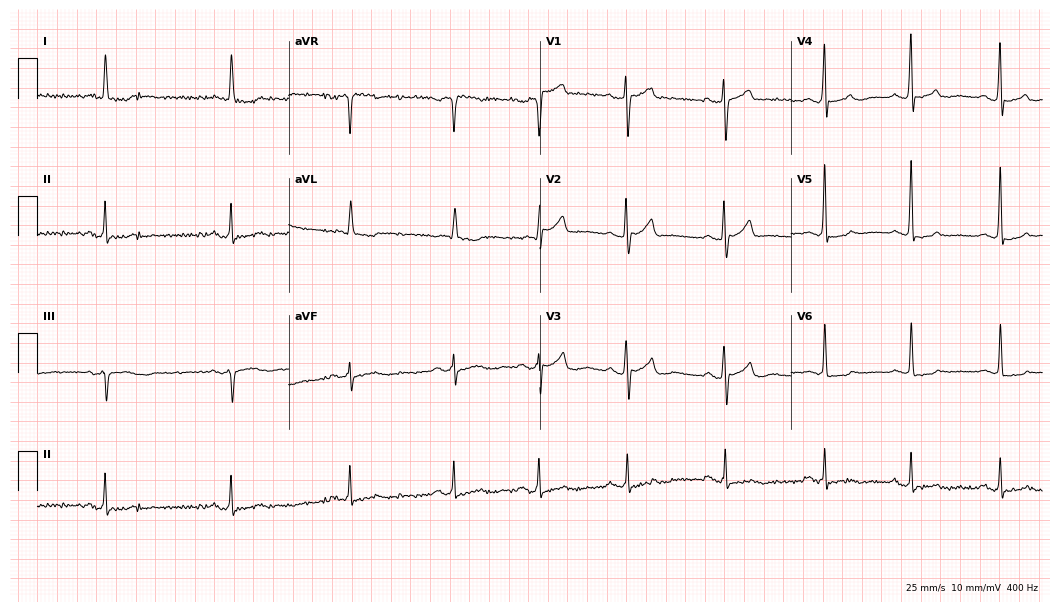
Standard 12-lead ECG recorded from a female, 78 years old. None of these six findings is recorded: first-degree AV block, right bundle branch block (RBBB), left bundle branch block (LBBB), sinus bradycardia, atrial fibrillation (AF), sinus tachycardia. Findings outside these six are not listed.